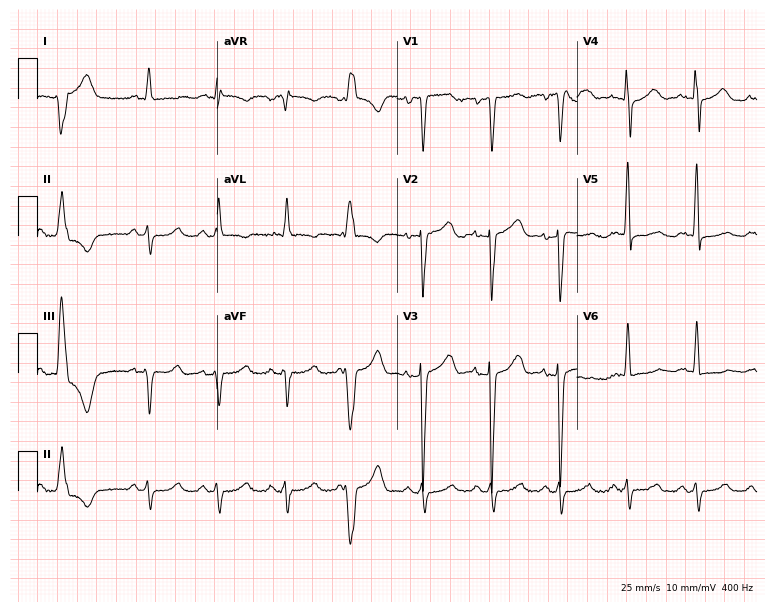
Resting 12-lead electrocardiogram. Patient: a 79-year-old man. None of these six findings is recorded: first-degree AV block, right bundle branch block, left bundle branch block, sinus bradycardia, atrial fibrillation, sinus tachycardia. Other findings, if any, are not listed.